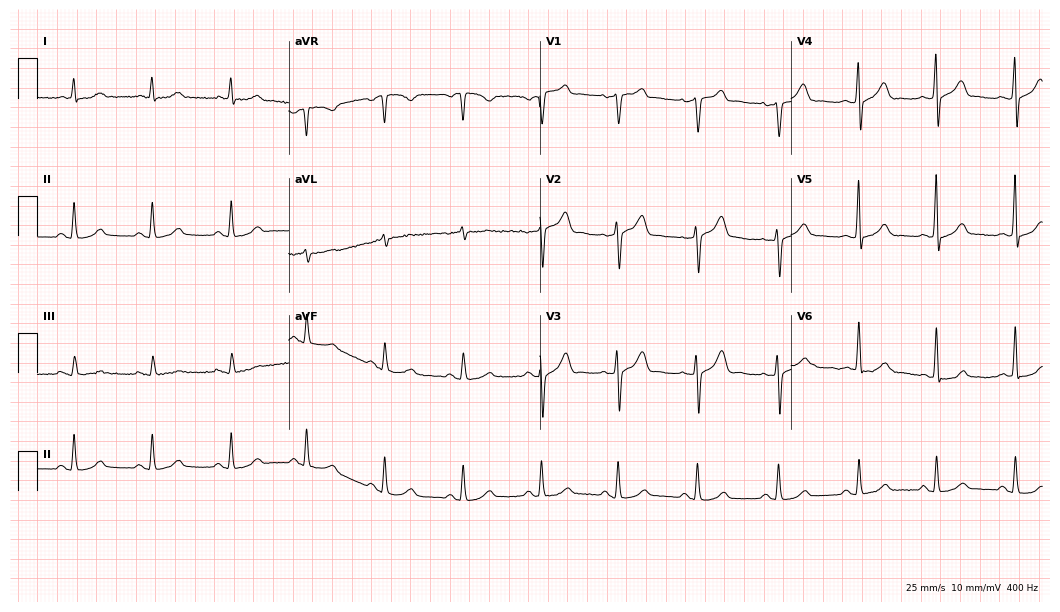
Resting 12-lead electrocardiogram. Patient: a 52-year-old man. Read as a normal ECG.